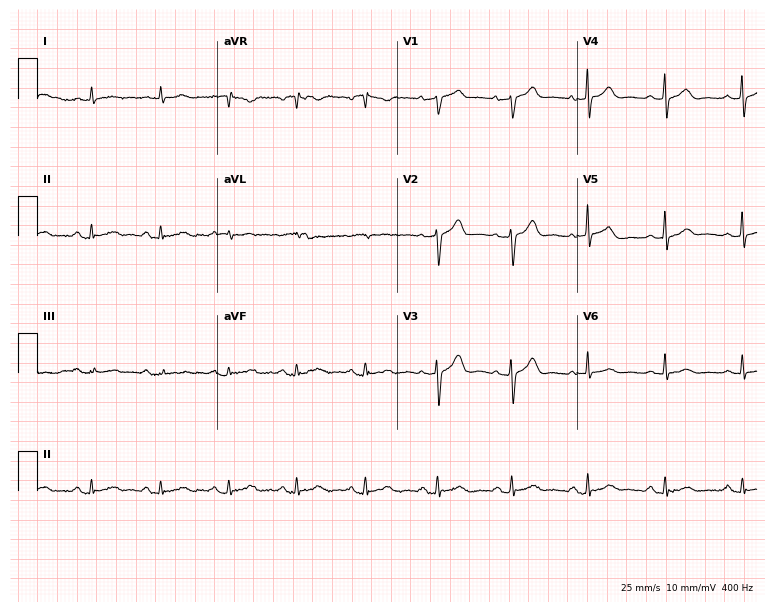
Resting 12-lead electrocardiogram (7.3-second recording at 400 Hz). Patient: a 79-year-old male. Read as a normal ECG.